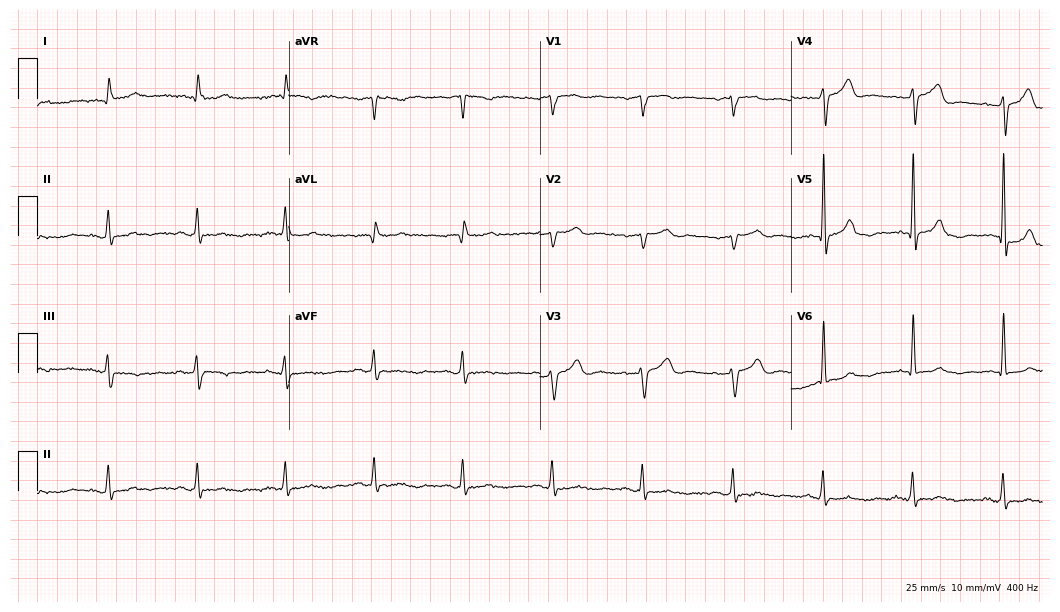
Electrocardiogram, an 84-year-old male. Of the six screened findings (first-degree AV block, right bundle branch block (RBBB), left bundle branch block (LBBB), sinus bradycardia, atrial fibrillation (AF), sinus tachycardia), none is recorded.